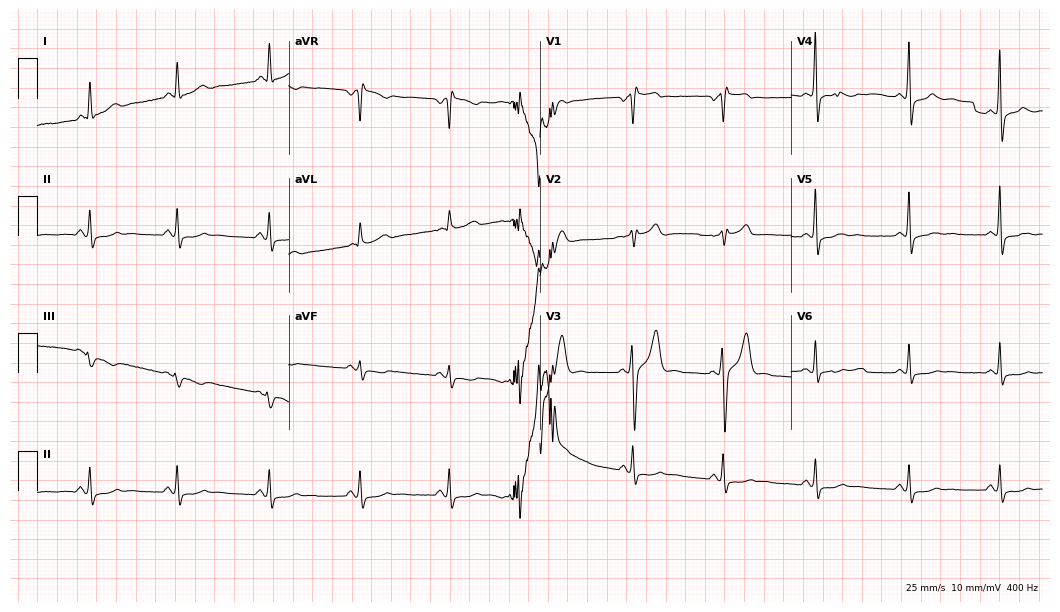
12-lead ECG from a male, 42 years old. No first-degree AV block, right bundle branch block (RBBB), left bundle branch block (LBBB), sinus bradycardia, atrial fibrillation (AF) or sinus tachycardia recorded for this tracing. Other findings, if any, are not listed.